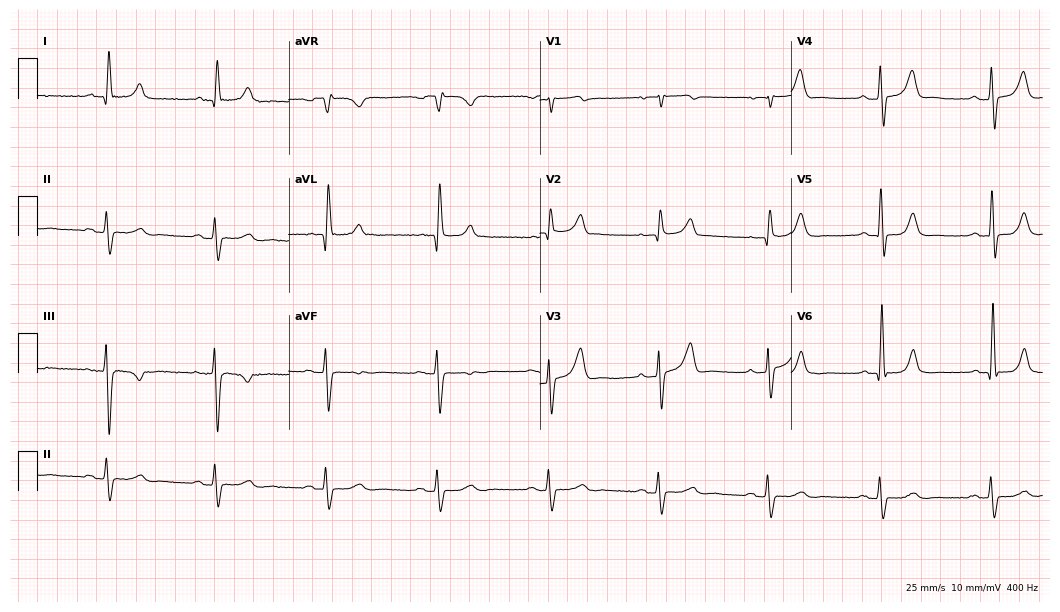
Standard 12-lead ECG recorded from a man, 85 years old. None of these six findings is recorded: first-degree AV block, right bundle branch block (RBBB), left bundle branch block (LBBB), sinus bradycardia, atrial fibrillation (AF), sinus tachycardia.